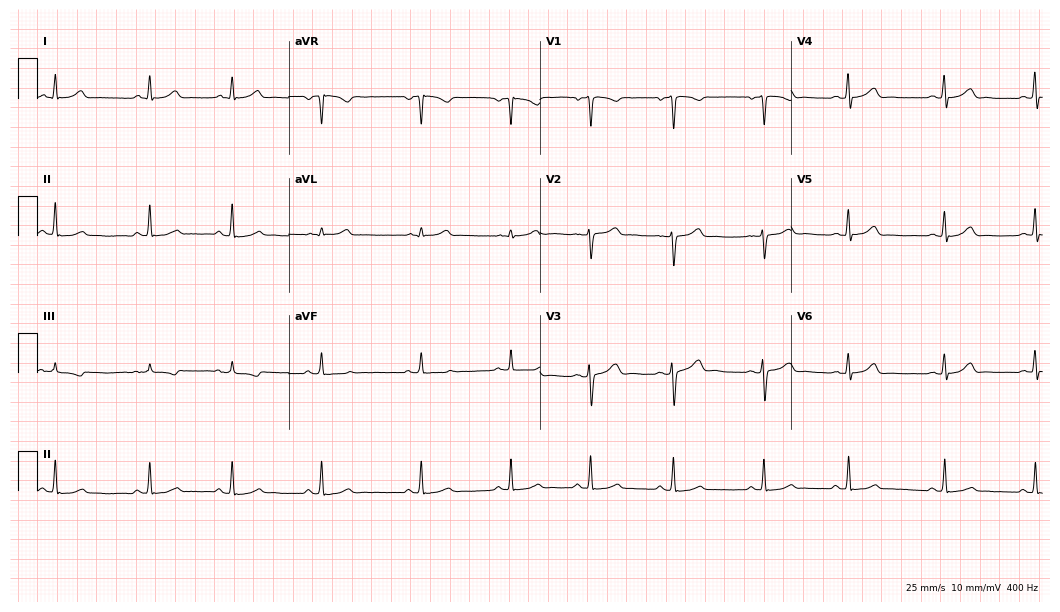
Standard 12-lead ECG recorded from a 22-year-old female patient. Read as a normal ECG.